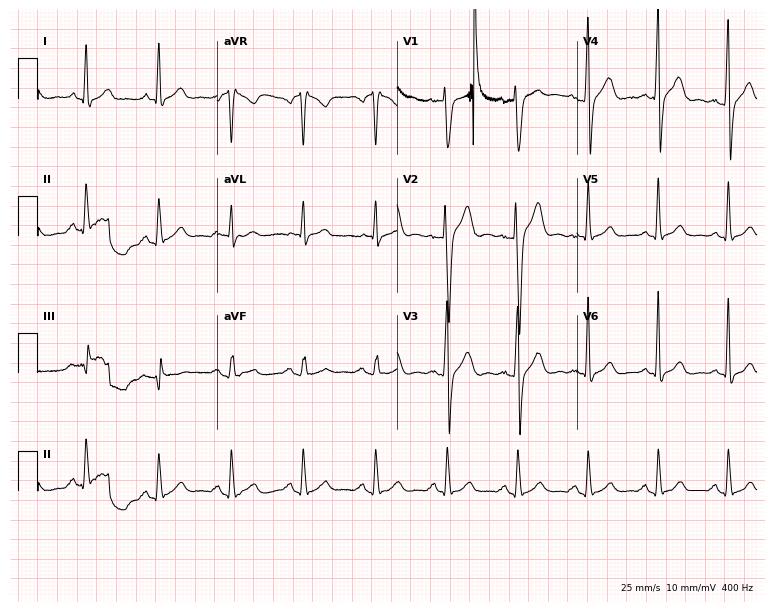
12-lead ECG from a male, 41 years old. Recorded interpretation: within normal limits.